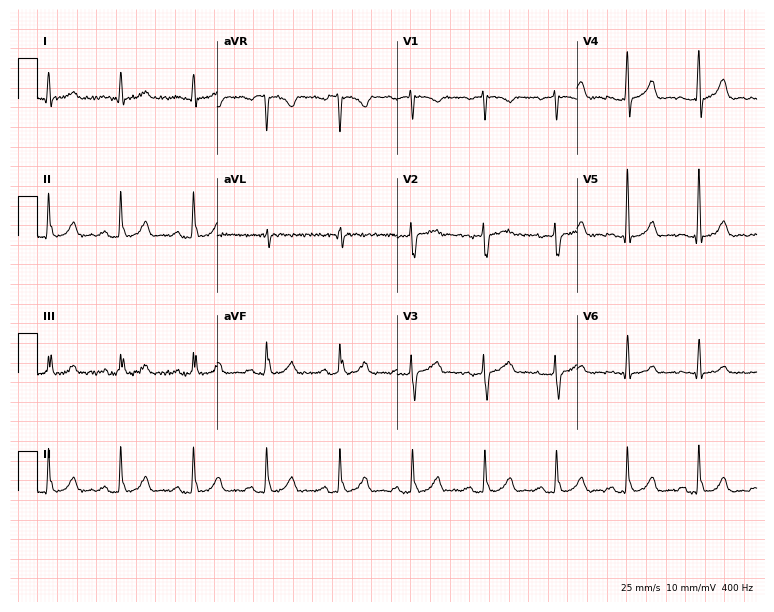
12-lead ECG from a female, 56 years old. Recorded interpretation: within normal limits.